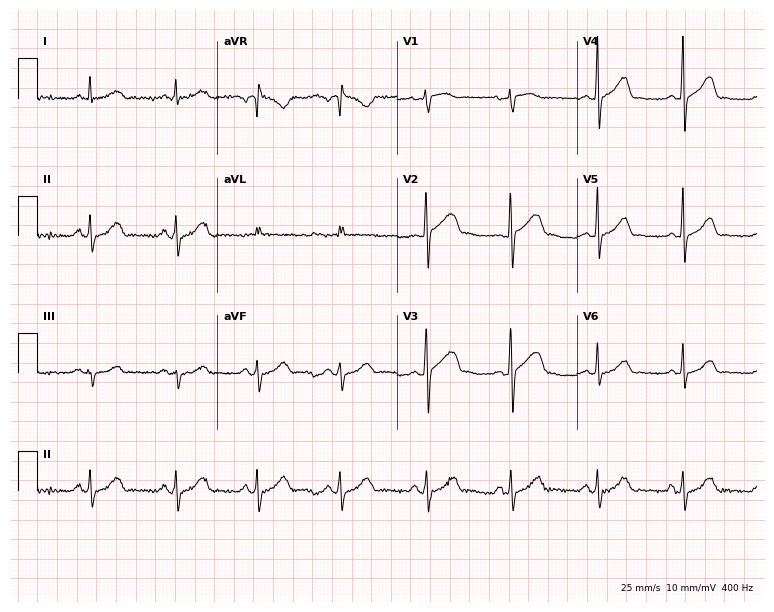
12-lead ECG from a woman, 28 years old. No first-degree AV block, right bundle branch block, left bundle branch block, sinus bradycardia, atrial fibrillation or sinus tachycardia recorded for this tracing.